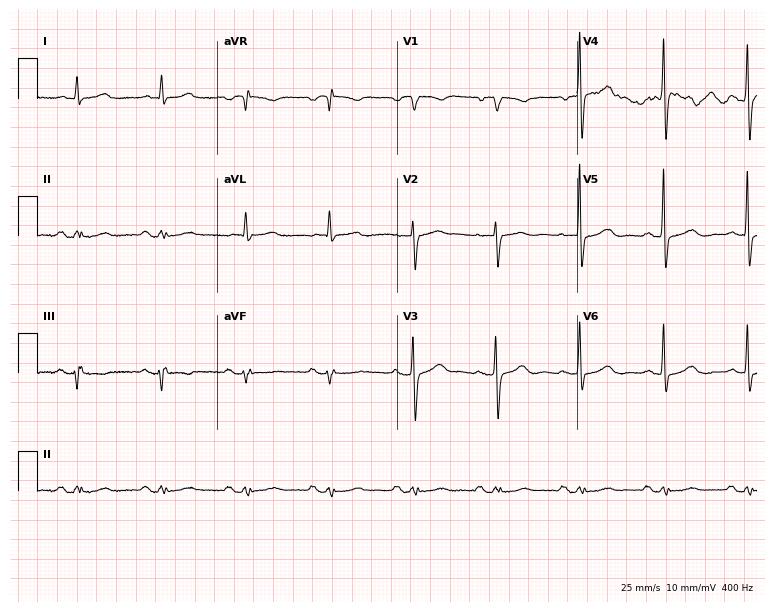
ECG (7.3-second recording at 400 Hz) — a woman, 63 years old. Labelled as a normal ECG.